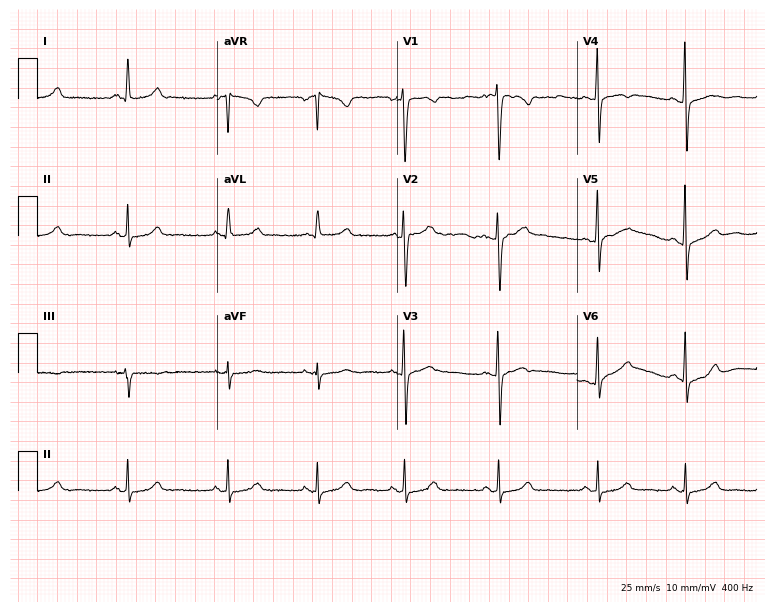
ECG — a woman, 36 years old. Screened for six findings — first-degree AV block, right bundle branch block, left bundle branch block, sinus bradycardia, atrial fibrillation, sinus tachycardia — none is recorded. Other findings, if any, are not listed.